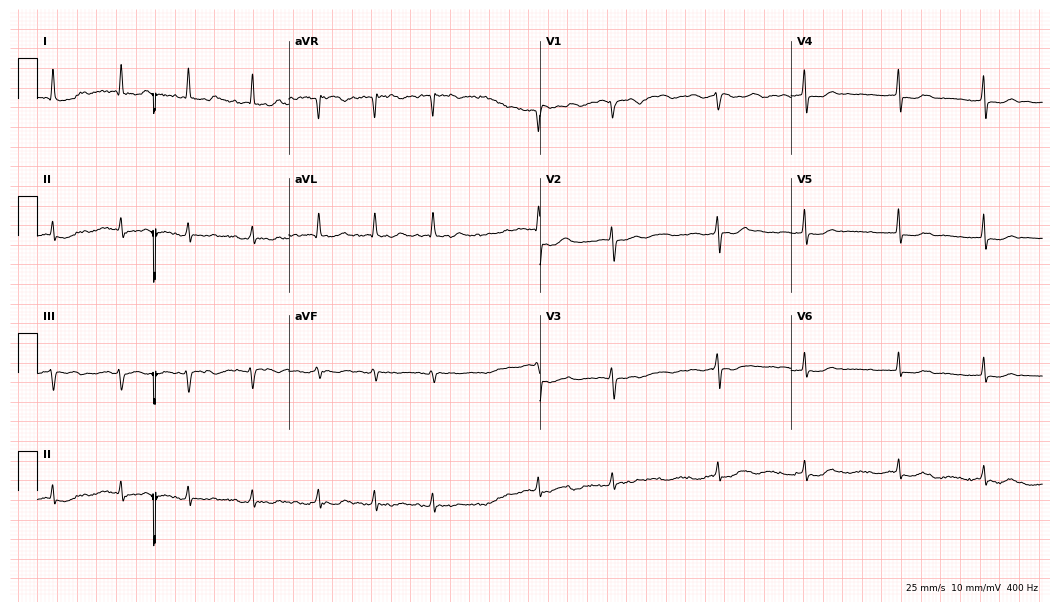
12-lead ECG (10.2-second recording at 400 Hz) from a female patient, 79 years old. Findings include atrial fibrillation.